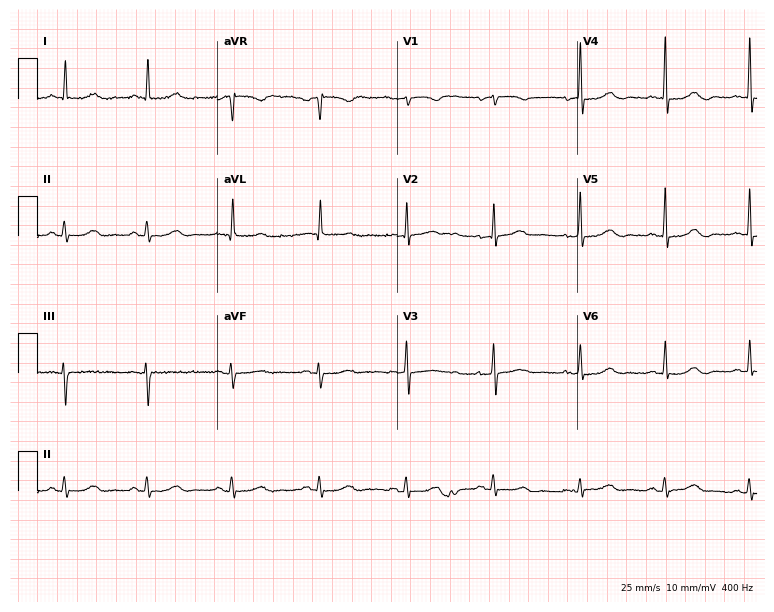
12-lead ECG from a 72-year-old female. Screened for six findings — first-degree AV block, right bundle branch block, left bundle branch block, sinus bradycardia, atrial fibrillation, sinus tachycardia — none is recorded.